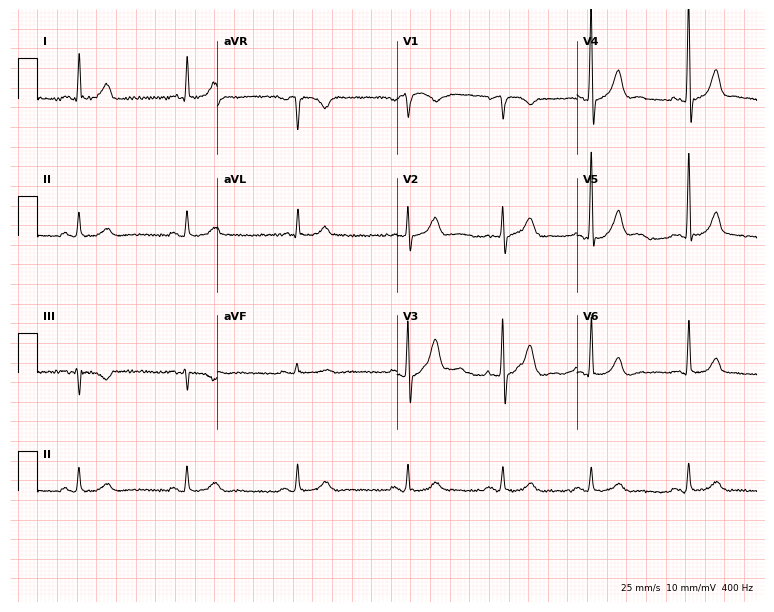
Electrocardiogram, a 67-year-old male patient. Overall reading on record: normal ECG.